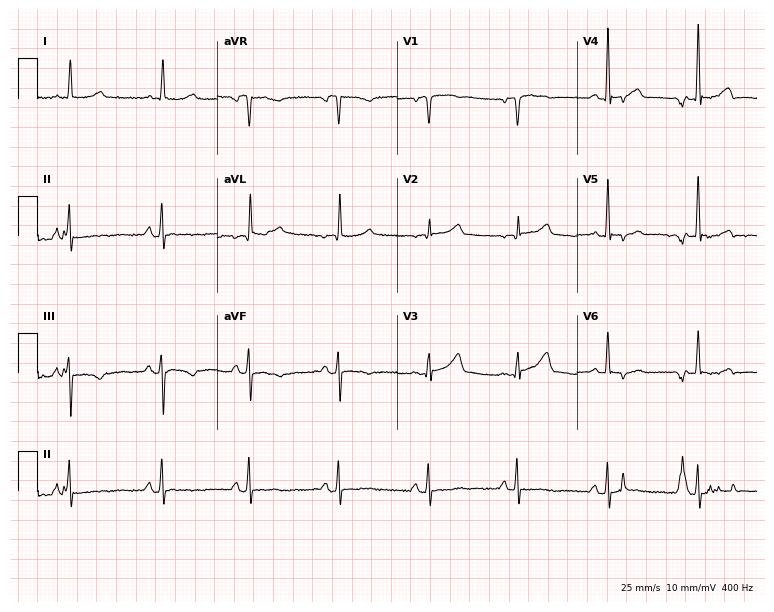
12-lead ECG from a female, 77 years old (7.3-second recording at 400 Hz). No first-degree AV block, right bundle branch block, left bundle branch block, sinus bradycardia, atrial fibrillation or sinus tachycardia recorded for this tracing.